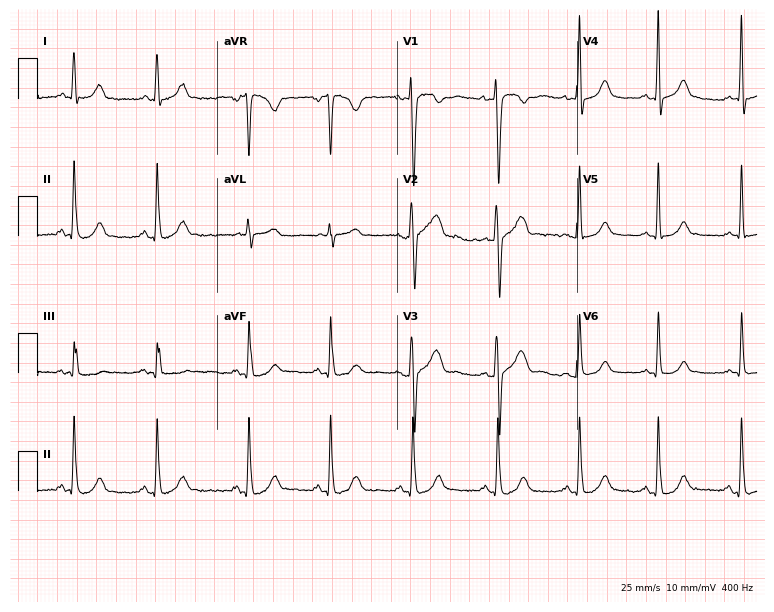
12-lead ECG from a 24-year-old female. Labelled as a normal ECG.